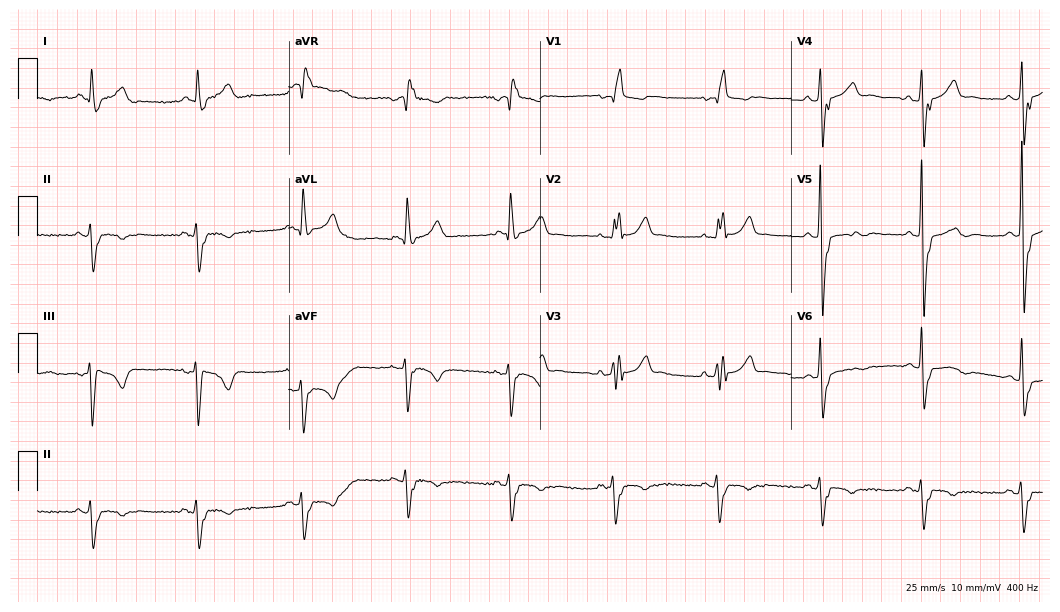
12-lead ECG from an 81-year-old man (10.2-second recording at 400 Hz). Shows right bundle branch block.